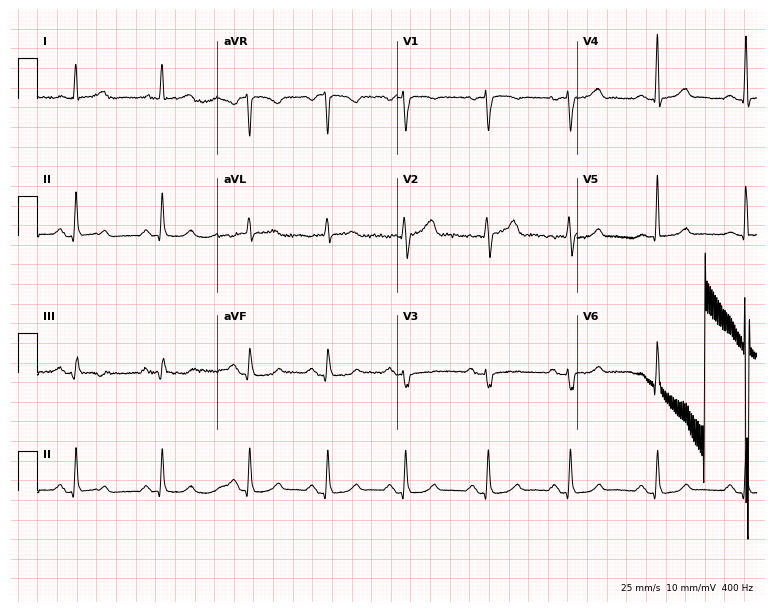
ECG (7.3-second recording at 400 Hz) — a female patient, 49 years old. Labelled as a normal ECG.